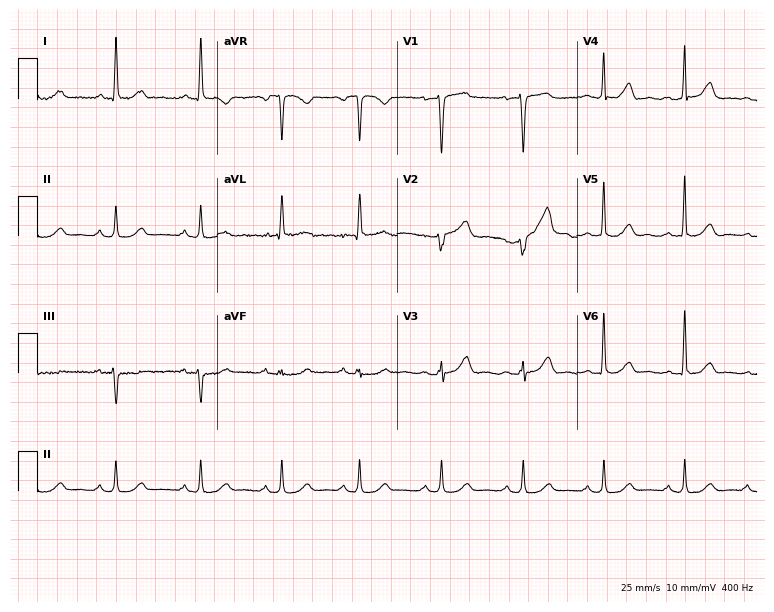
12-lead ECG from a 55-year-old woman (7.3-second recording at 400 Hz). Recorded interpretation: within normal limits.